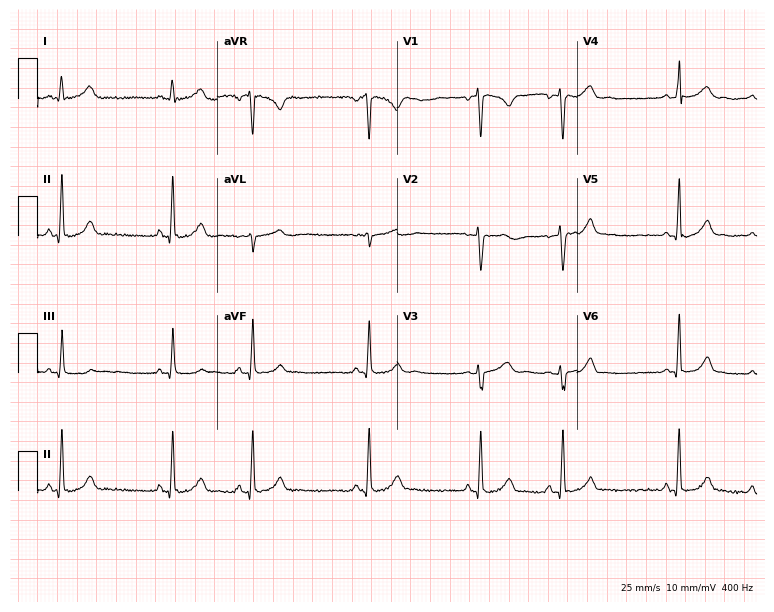
ECG (7.3-second recording at 400 Hz) — a 21-year-old female. Labelled as a normal ECG.